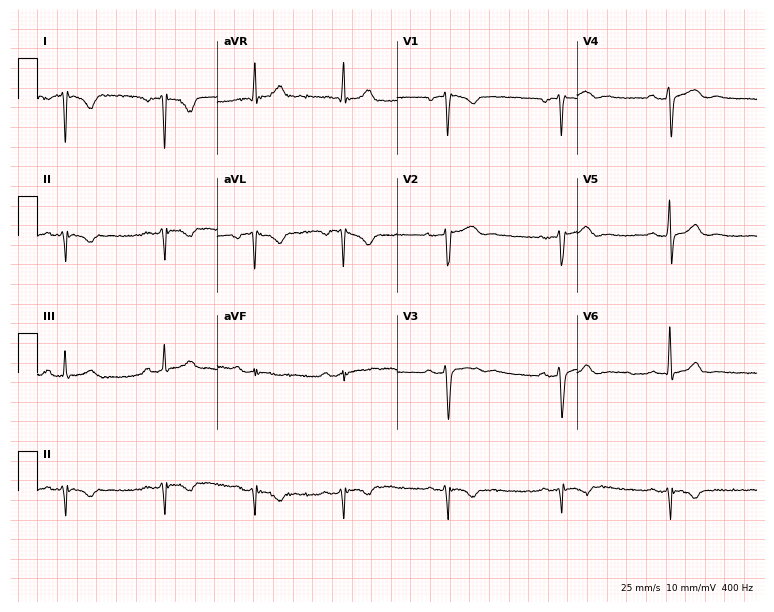
ECG — a man, 38 years old. Screened for six findings — first-degree AV block, right bundle branch block, left bundle branch block, sinus bradycardia, atrial fibrillation, sinus tachycardia — none is recorded.